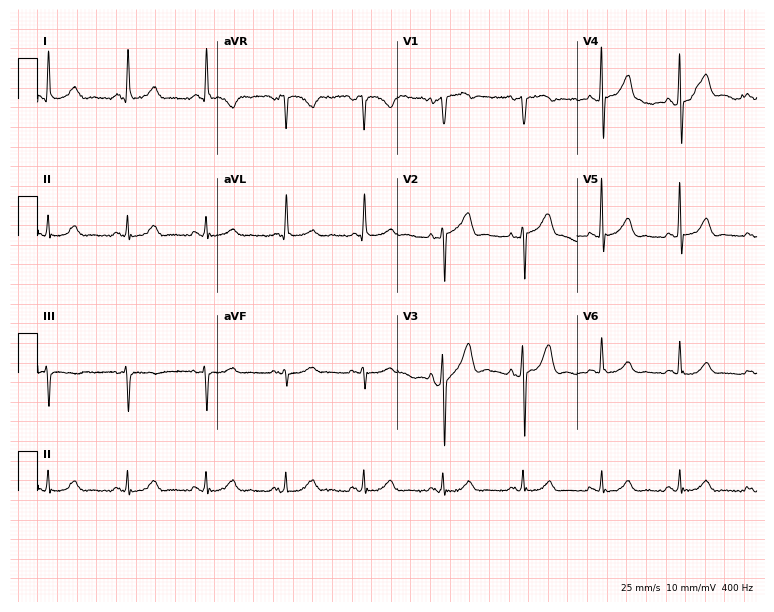
Resting 12-lead electrocardiogram. Patient: a male, 77 years old. Read as a normal ECG.